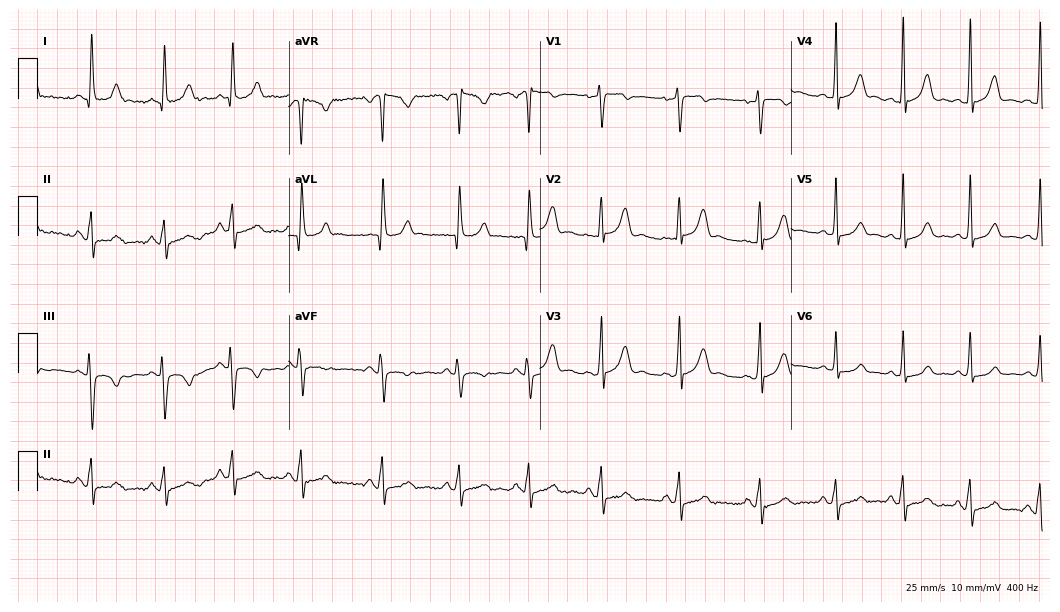
Resting 12-lead electrocardiogram (10.2-second recording at 400 Hz). Patient: a female, 33 years old. Read as a normal ECG.